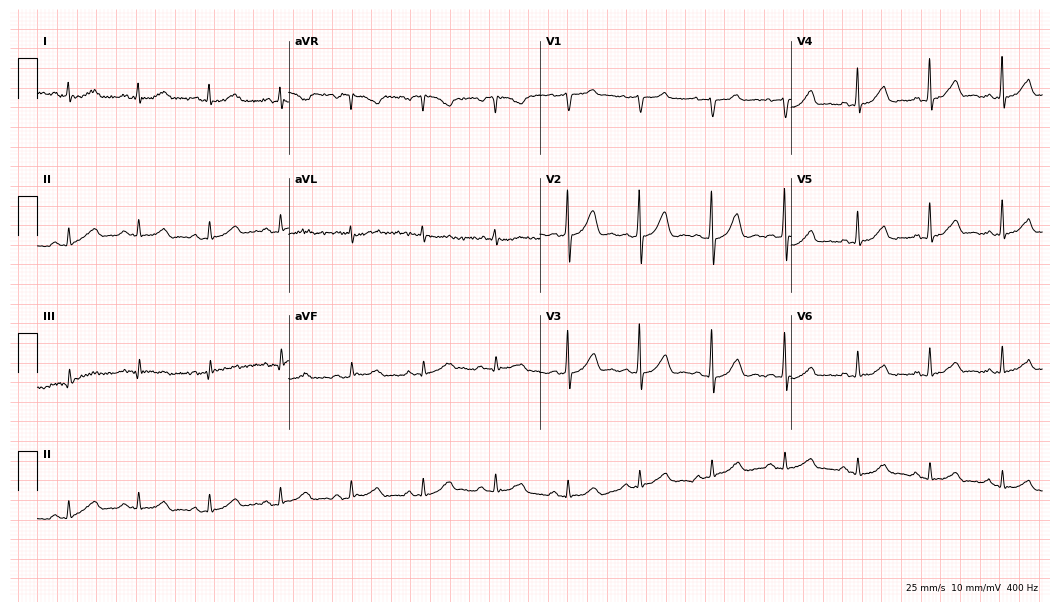
Standard 12-lead ECG recorded from a female, 68 years old (10.2-second recording at 400 Hz). Read as a normal ECG.